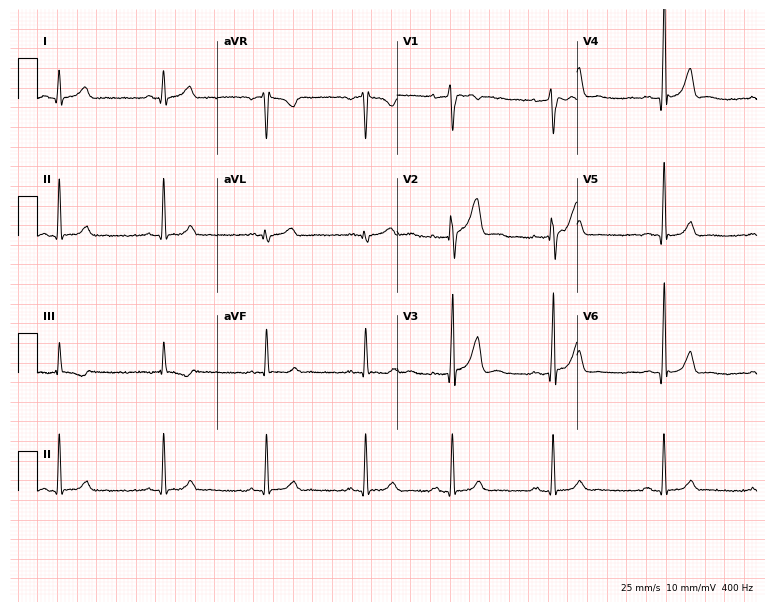
12-lead ECG from a man, 27 years old. Recorded interpretation: within normal limits.